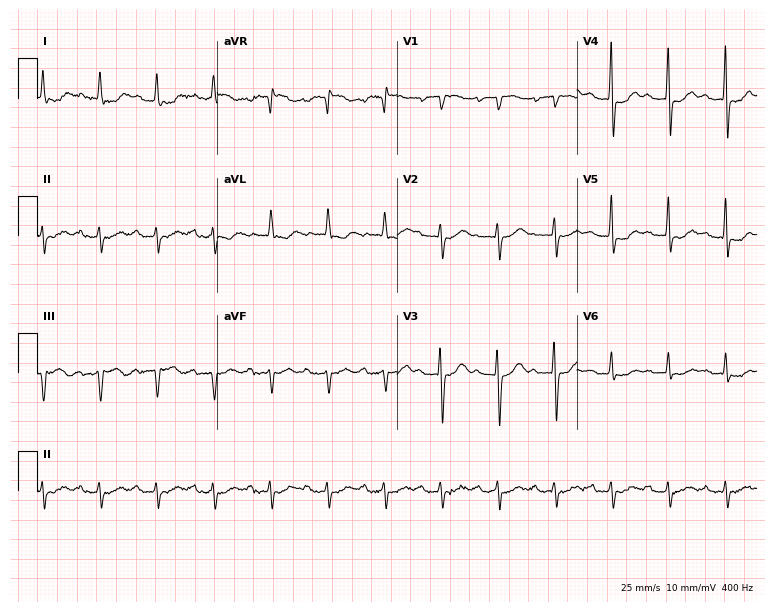
12-lead ECG from an 82-year-old female patient. Shows first-degree AV block, sinus tachycardia (a sinus rate of 100 beats per minute or more).